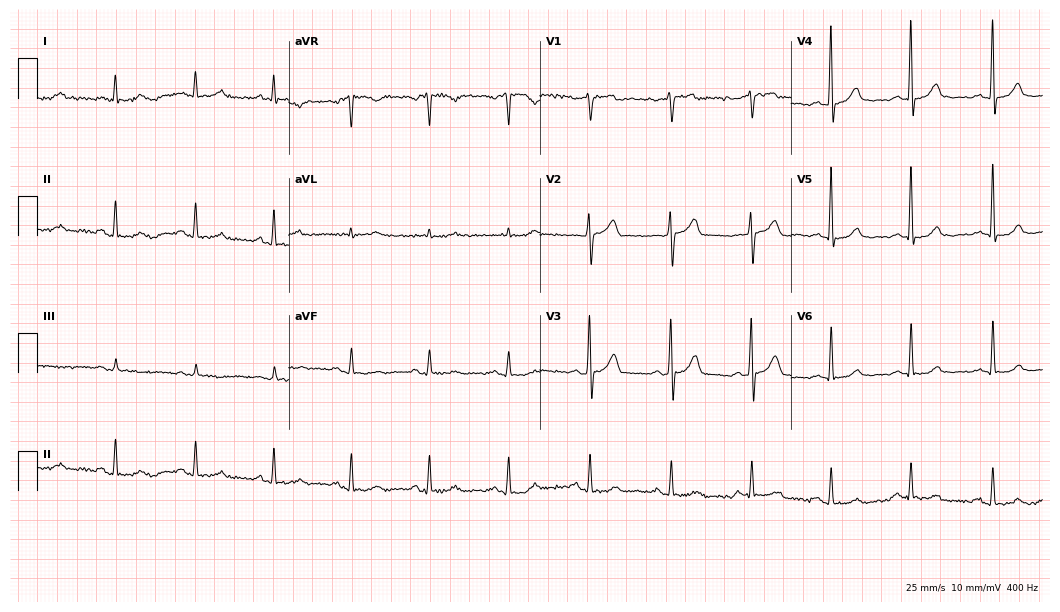
12-lead ECG from a 64-year-old male patient. Recorded interpretation: within normal limits.